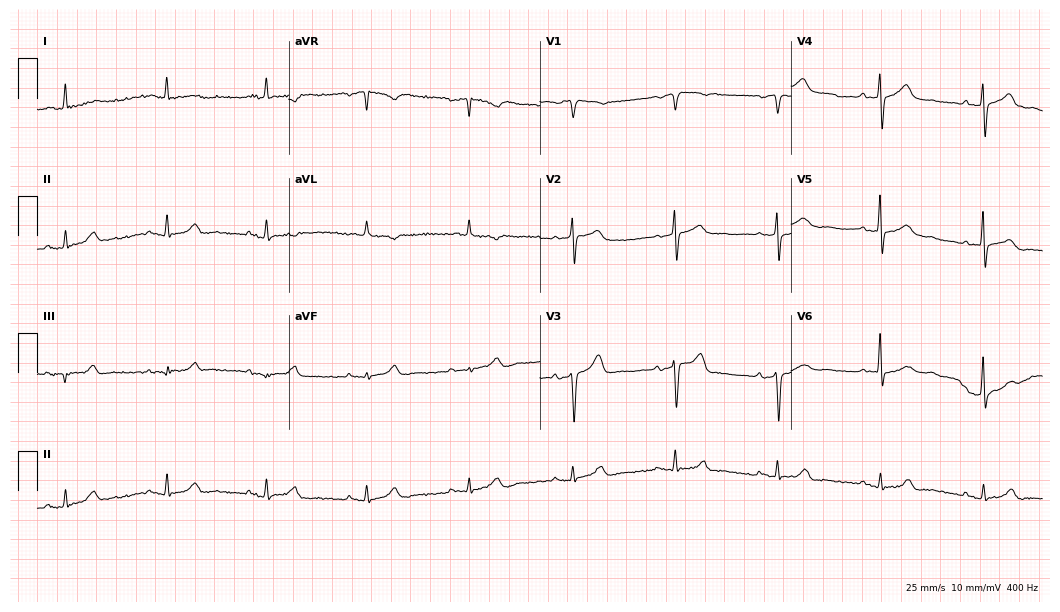
12-lead ECG from a male, 76 years old. No first-degree AV block, right bundle branch block (RBBB), left bundle branch block (LBBB), sinus bradycardia, atrial fibrillation (AF) or sinus tachycardia recorded for this tracing. Only these six findings were labelled.